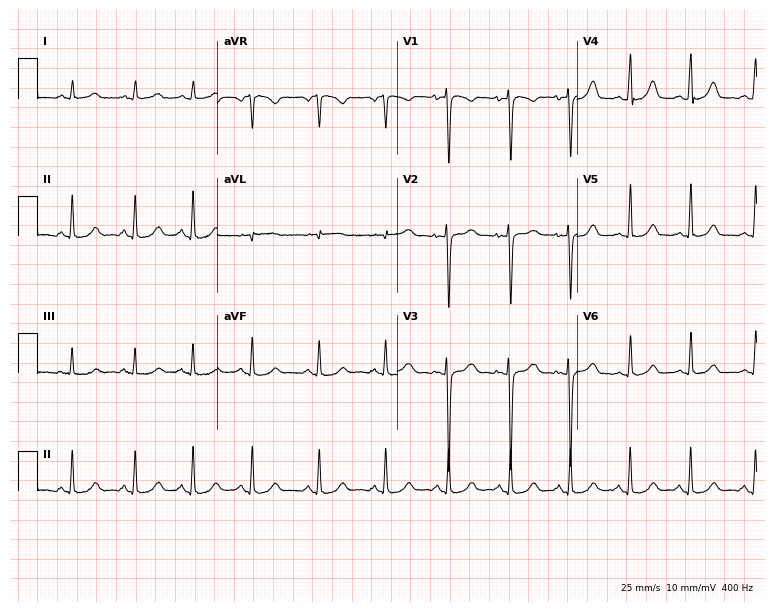
Electrocardiogram, a female patient, 48 years old. Overall reading on record: normal ECG.